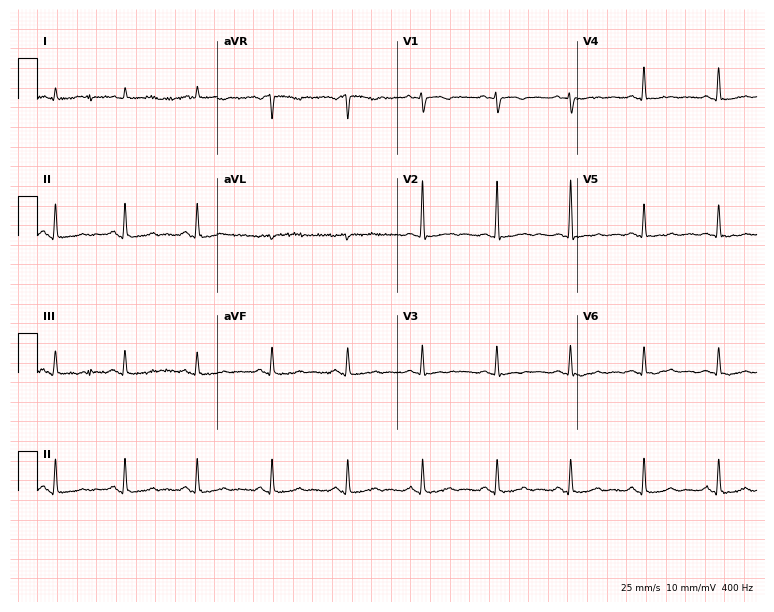
Resting 12-lead electrocardiogram. Patient: a woman, 59 years old. None of these six findings is recorded: first-degree AV block, right bundle branch block (RBBB), left bundle branch block (LBBB), sinus bradycardia, atrial fibrillation (AF), sinus tachycardia. Other findings, if any, are not listed.